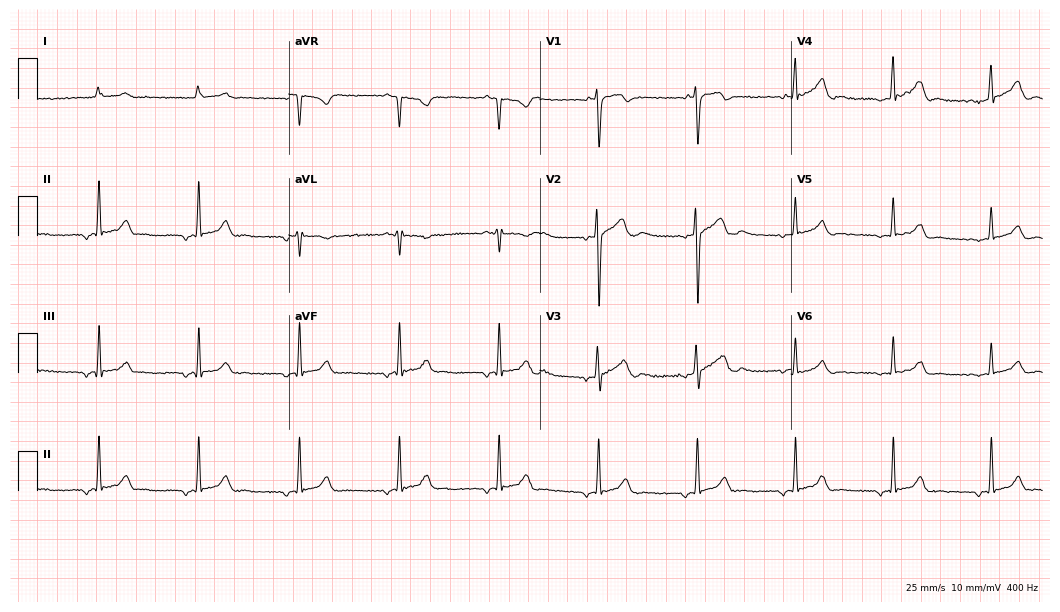
Electrocardiogram, a male, 20 years old. Overall reading on record: normal ECG.